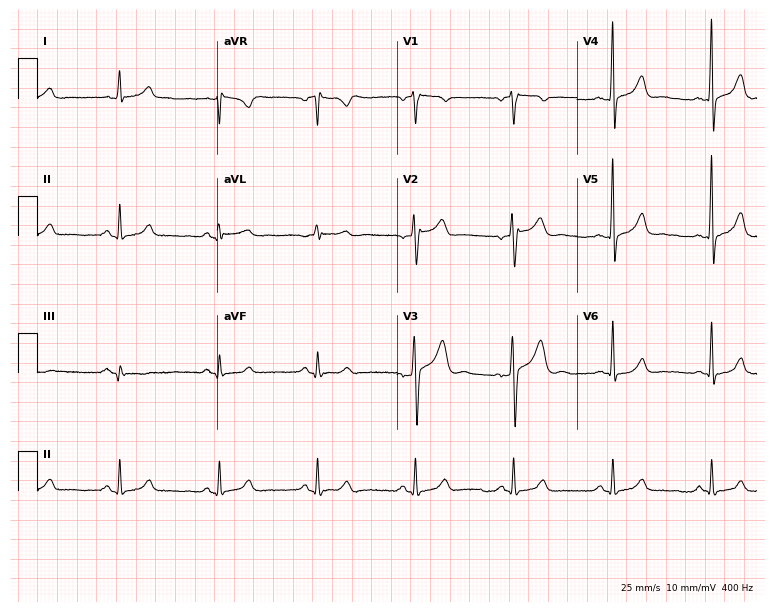
ECG (7.3-second recording at 400 Hz) — a male, 55 years old. Labelled as a normal ECG.